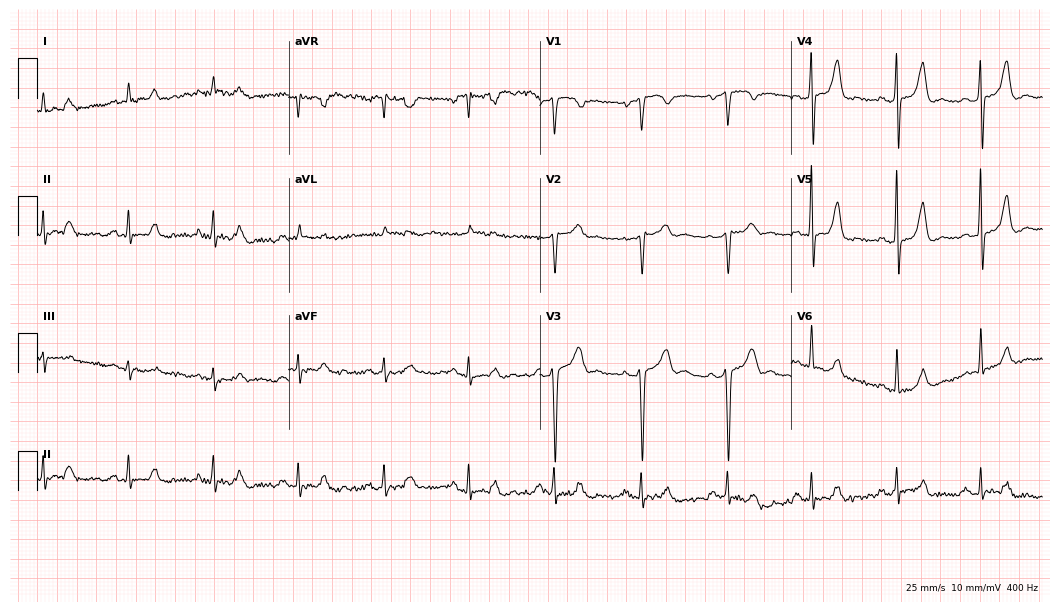
Standard 12-lead ECG recorded from a male, 72 years old. None of these six findings is recorded: first-degree AV block, right bundle branch block, left bundle branch block, sinus bradycardia, atrial fibrillation, sinus tachycardia.